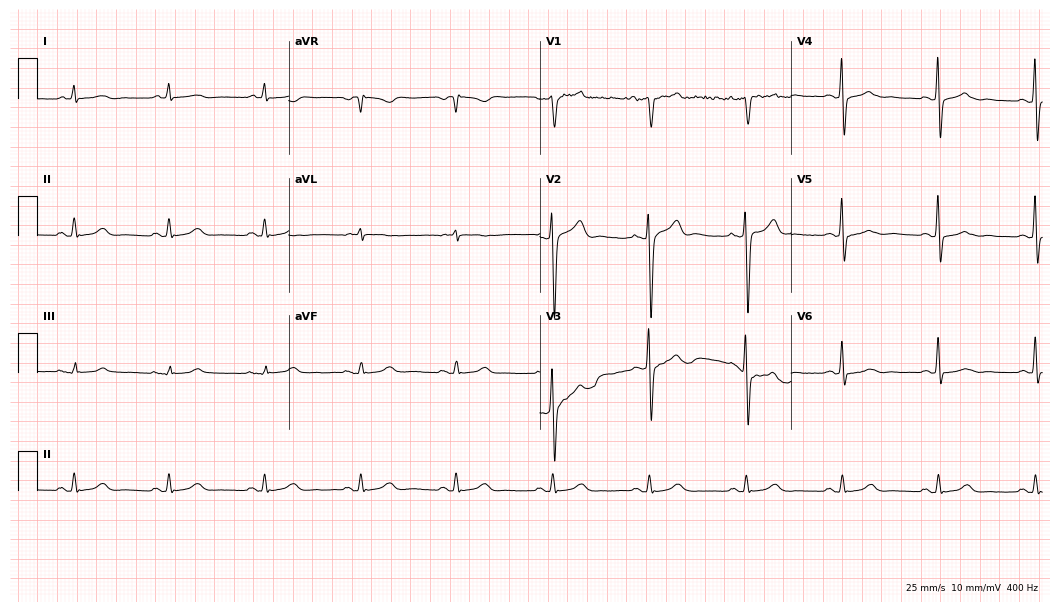
Electrocardiogram, an 83-year-old female. Overall reading on record: normal ECG.